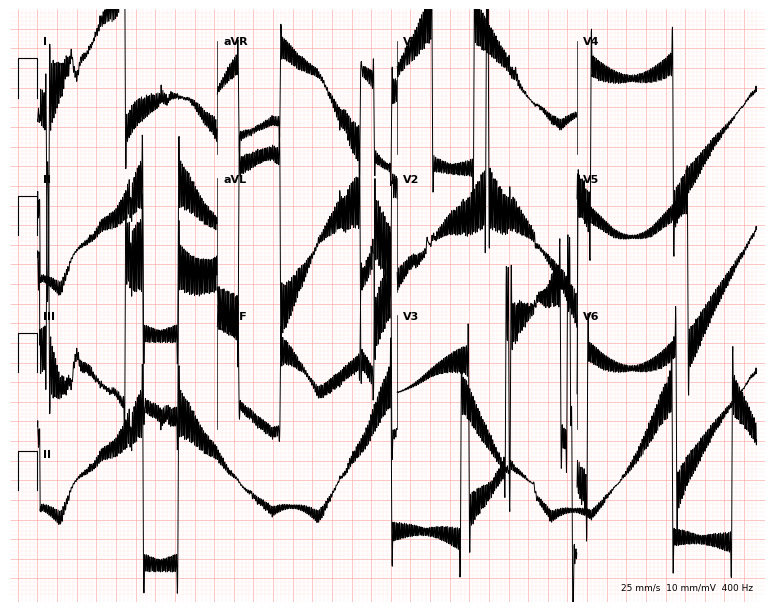
Resting 12-lead electrocardiogram. Patient: a male, 71 years old. None of these six findings is recorded: first-degree AV block, right bundle branch block (RBBB), left bundle branch block (LBBB), sinus bradycardia, atrial fibrillation (AF), sinus tachycardia.